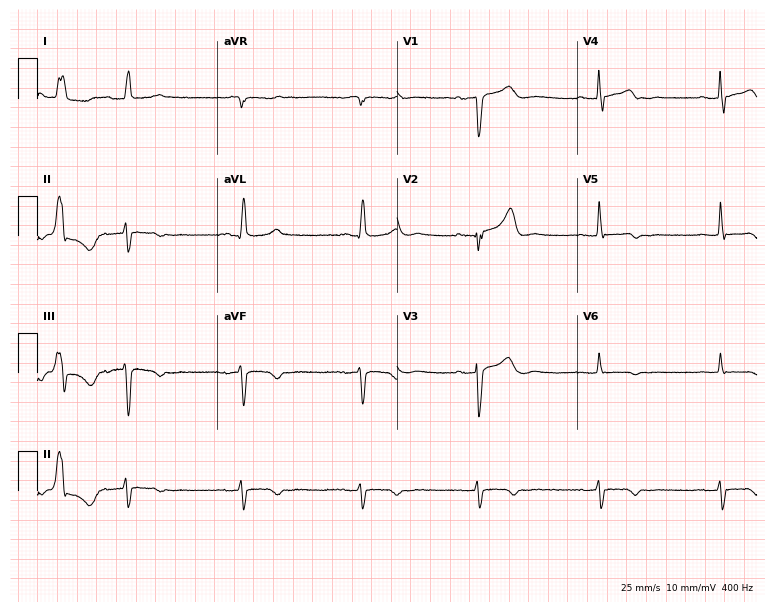
12-lead ECG from an 85-year-old female patient (7.3-second recording at 400 Hz). No first-degree AV block, right bundle branch block (RBBB), left bundle branch block (LBBB), sinus bradycardia, atrial fibrillation (AF) or sinus tachycardia recorded for this tracing.